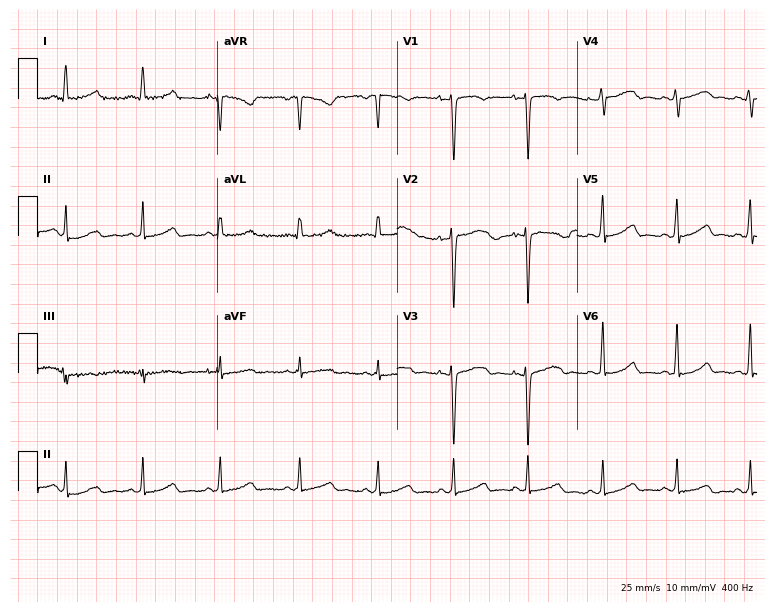
Electrocardiogram (7.3-second recording at 400 Hz), a 25-year-old woman. Overall reading on record: normal ECG.